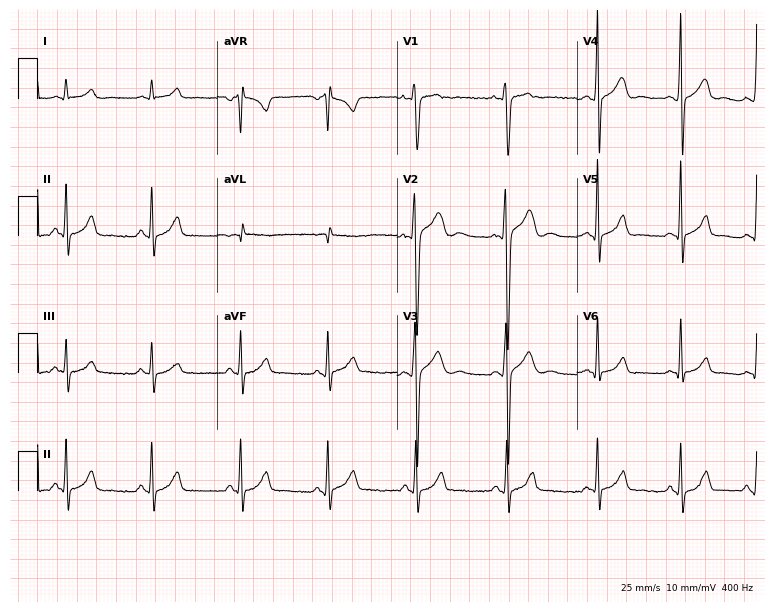
12-lead ECG (7.3-second recording at 400 Hz) from a 17-year-old male patient. Labelled as a normal ECG.